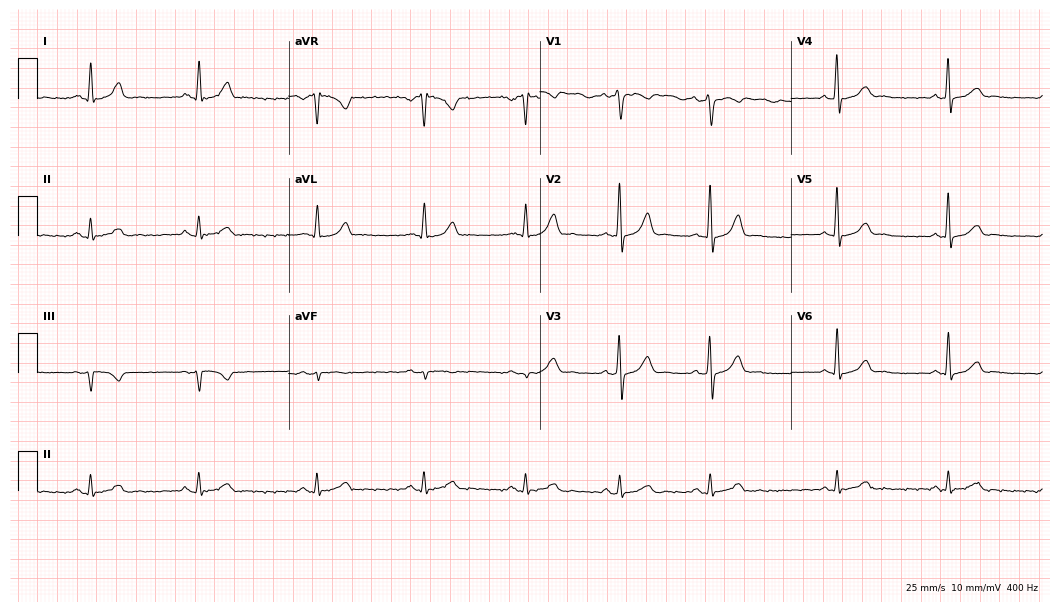
Standard 12-lead ECG recorded from a woman, 46 years old. Read as a normal ECG.